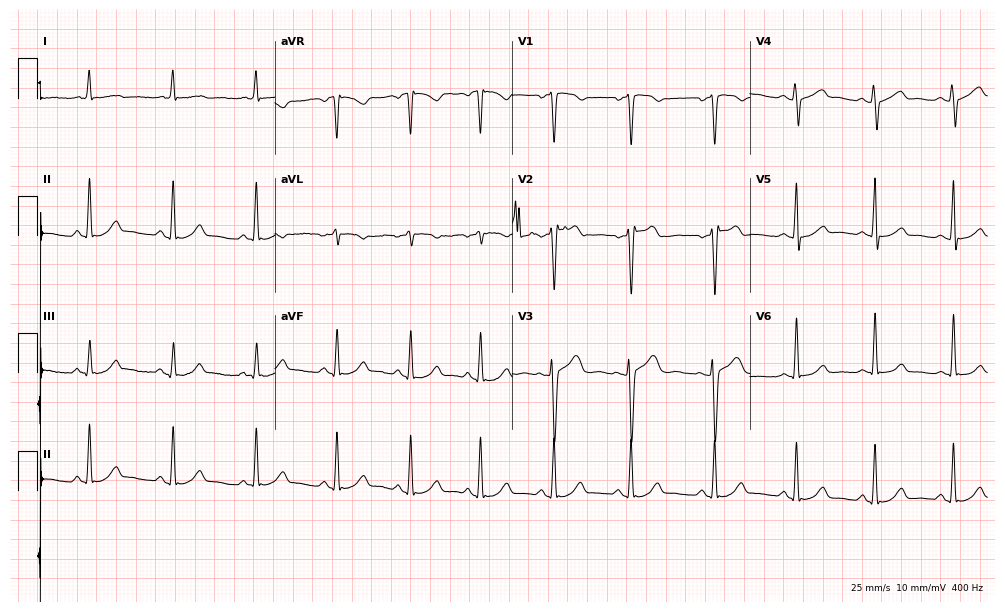
Electrocardiogram (9.7-second recording at 400 Hz), a 53-year-old female patient. Of the six screened findings (first-degree AV block, right bundle branch block, left bundle branch block, sinus bradycardia, atrial fibrillation, sinus tachycardia), none is recorded.